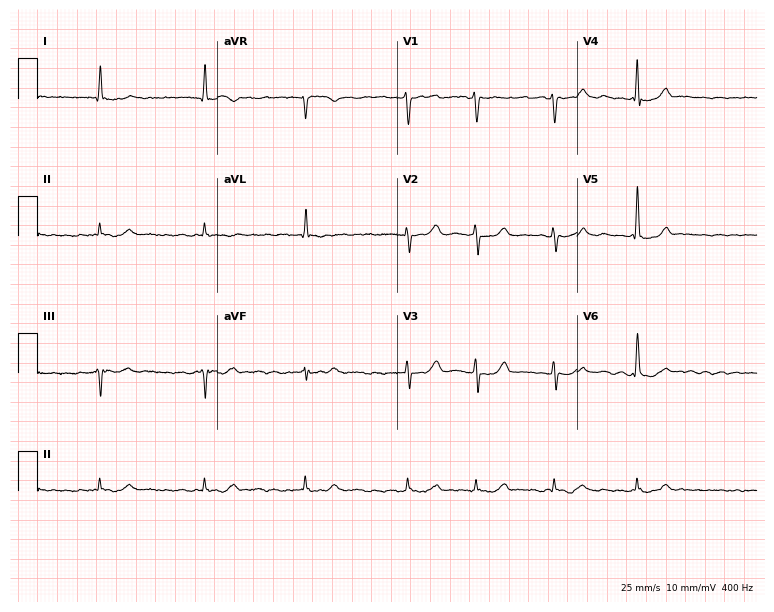
12-lead ECG from a female patient, 84 years old. Shows atrial fibrillation (AF).